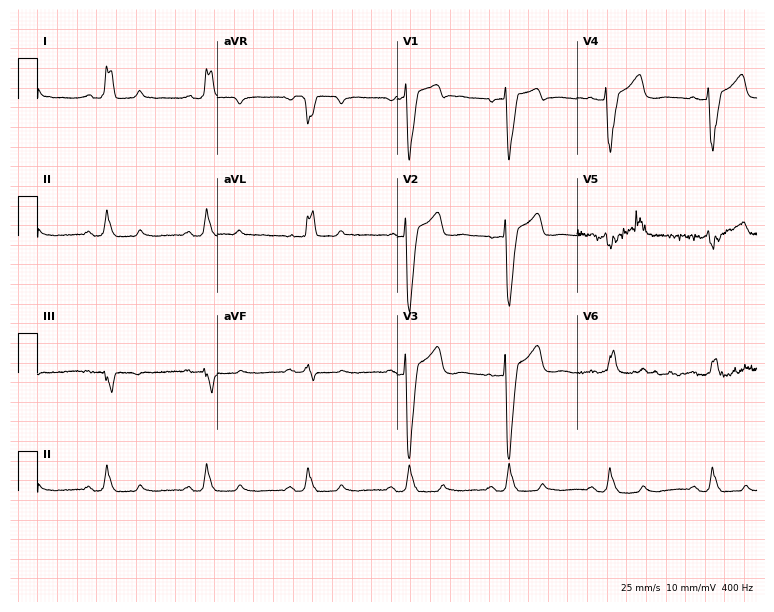
Electrocardiogram (7.3-second recording at 400 Hz), a female, 79 years old. Interpretation includes left bundle branch block (LBBB).